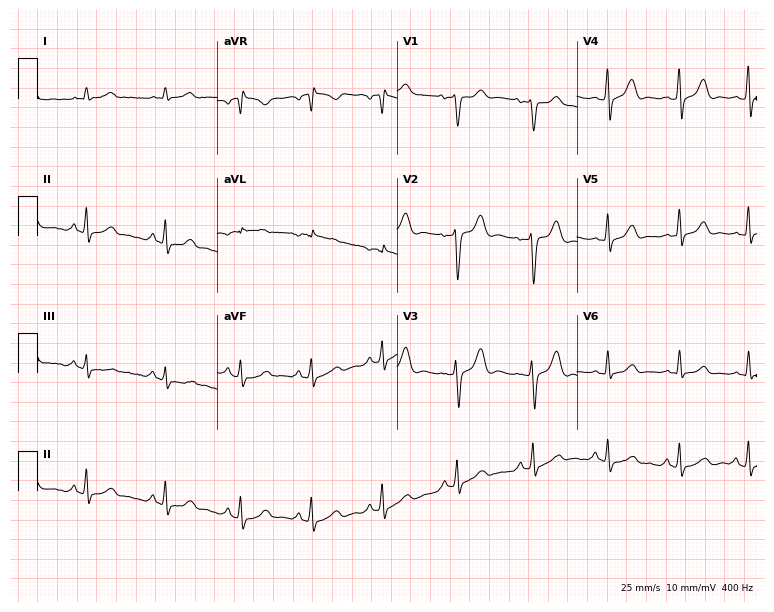
Resting 12-lead electrocardiogram. Patient: a 27-year-old man. None of these six findings is recorded: first-degree AV block, right bundle branch block (RBBB), left bundle branch block (LBBB), sinus bradycardia, atrial fibrillation (AF), sinus tachycardia.